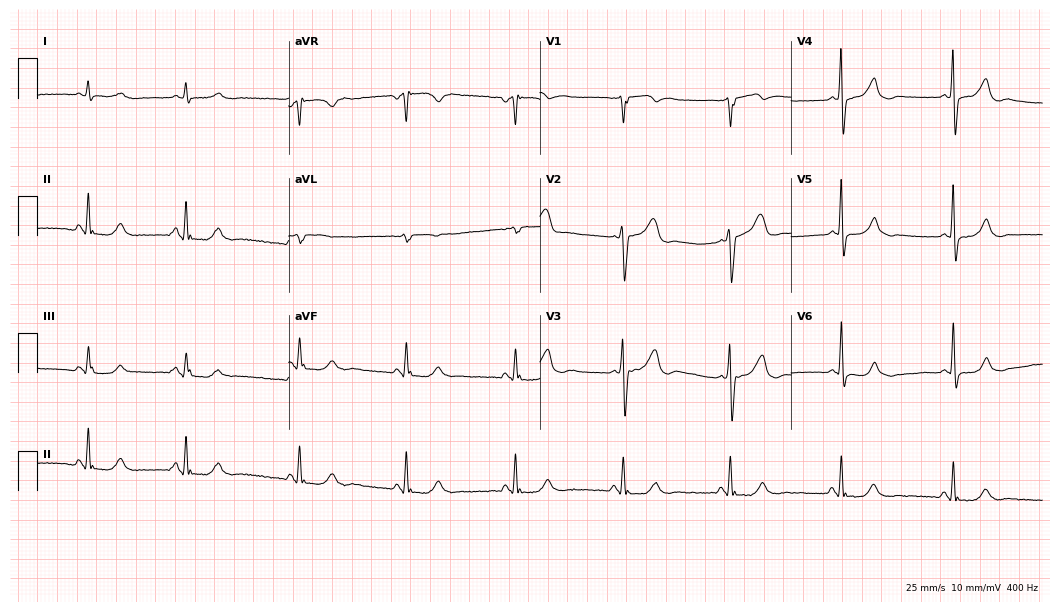
Resting 12-lead electrocardiogram. Patient: a 58-year-old man. None of these six findings is recorded: first-degree AV block, right bundle branch block, left bundle branch block, sinus bradycardia, atrial fibrillation, sinus tachycardia.